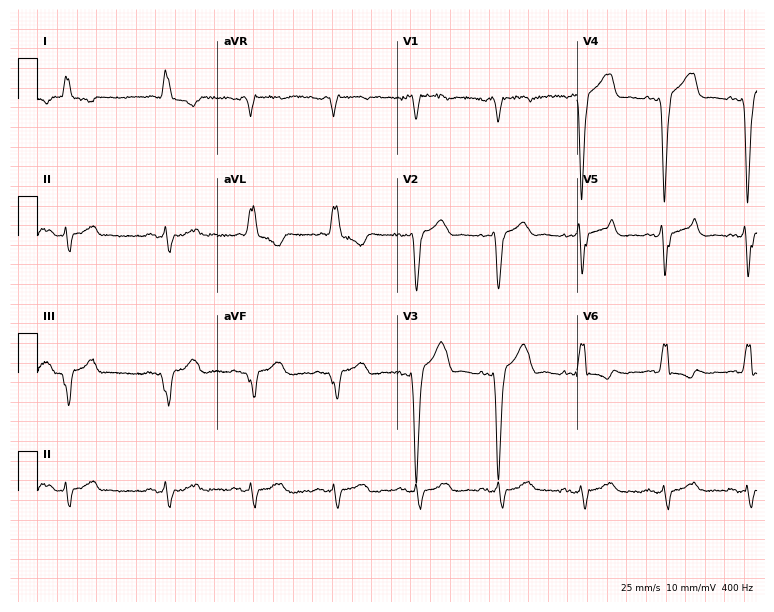
Electrocardiogram, a male patient, 80 years old. Interpretation includes left bundle branch block (LBBB).